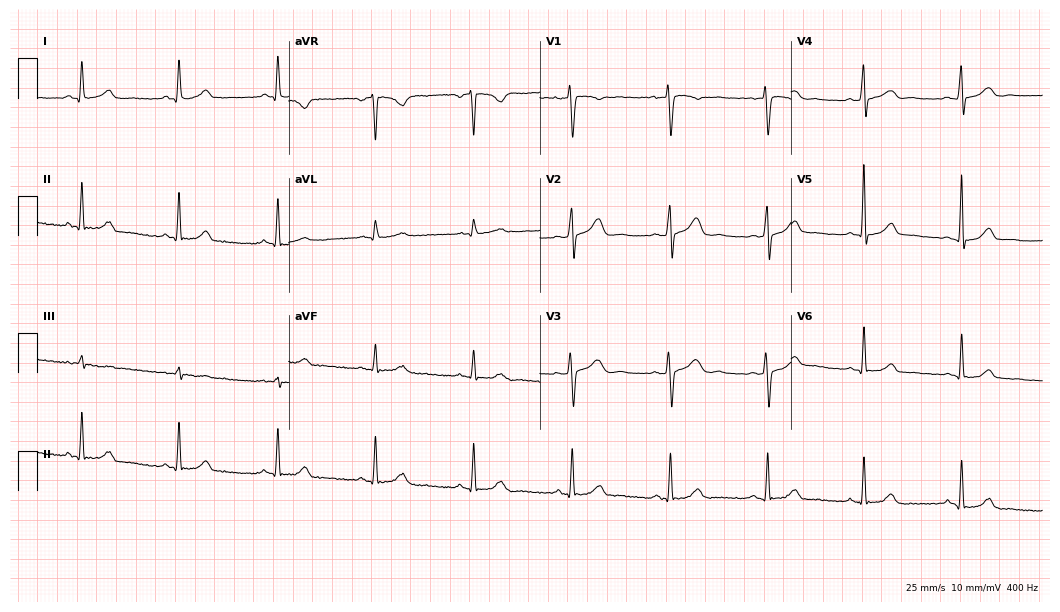
12-lead ECG from a 34-year-old woman. No first-degree AV block, right bundle branch block (RBBB), left bundle branch block (LBBB), sinus bradycardia, atrial fibrillation (AF) or sinus tachycardia recorded for this tracing.